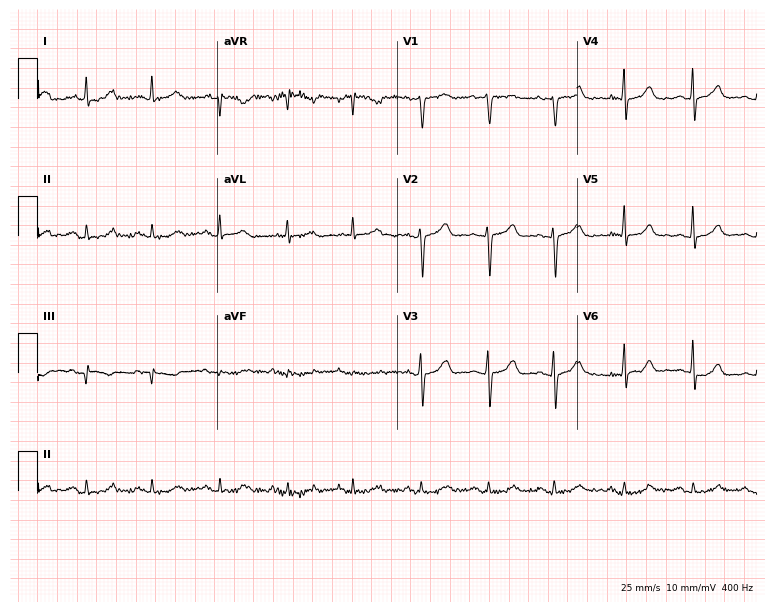
Standard 12-lead ECG recorded from a 57-year-old woman (7.3-second recording at 400 Hz). None of these six findings is recorded: first-degree AV block, right bundle branch block, left bundle branch block, sinus bradycardia, atrial fibrillation, sinus tachycardia.